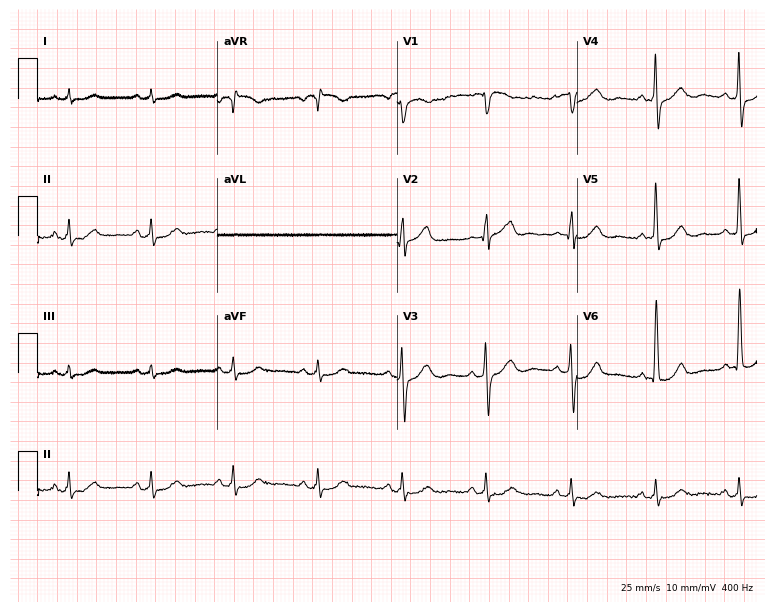
Electrocardiogram (7.3-second recording at 400 Hz), a 61-year-old female. Of the six screened findings (first-degree AV block, right bundle branch block (RBBB), left bundle branch block (LBBB), sinus bradycardia, atrial fibrillation (AF), sinus tachycardia), none is recorded. Other findings, if any, are not listed.